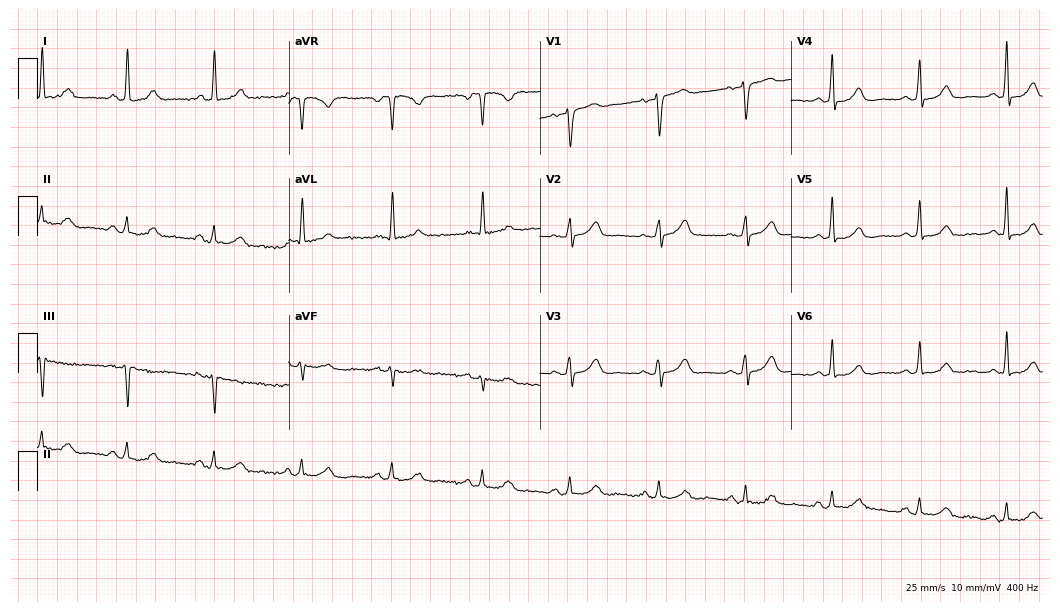
Resting 12-lead electrocardiogram. Patient: a 60-year-old male. Read as a normal ECG.